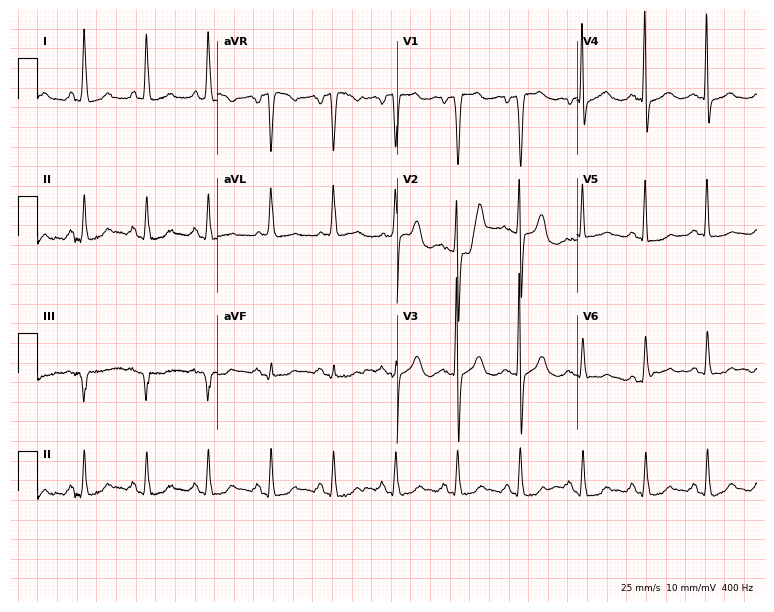
Electrocardiogram (7.3-second recording at 400 Hz), a 68-year-old female. Of the six screened findings (first-degree AV block, right bundle branch block, left bundle branch block, sinus bradycardia, atrial fibrillation, sinus tachycardia), none is recorded.